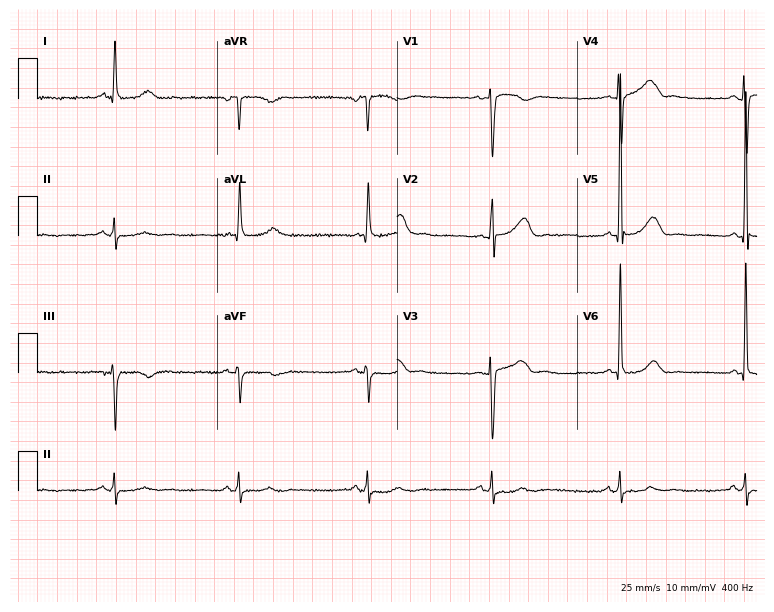
Electrocardiogram, a female patient, 76 years old. Interpretation includes sinus bradycardia (a sinus rate of 50 beats per minute or less).